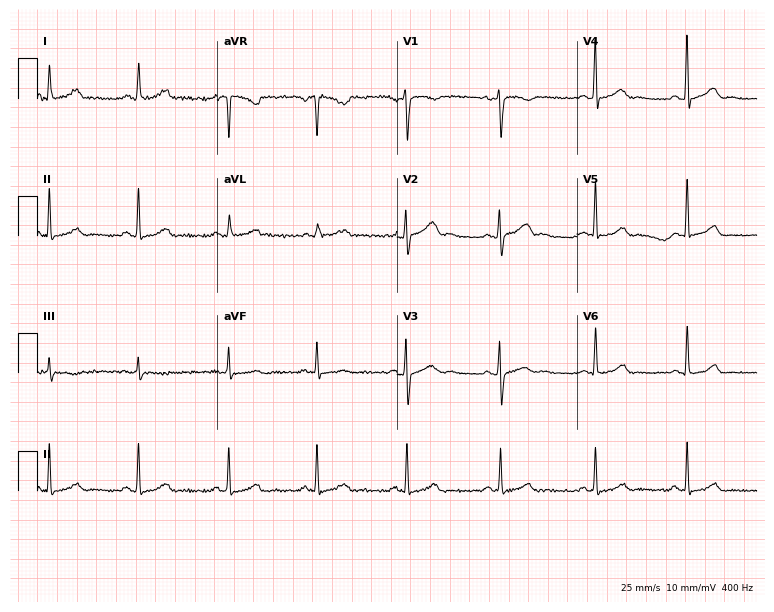
ECG — a female, 34 years old. Labelled as a normal ECG.